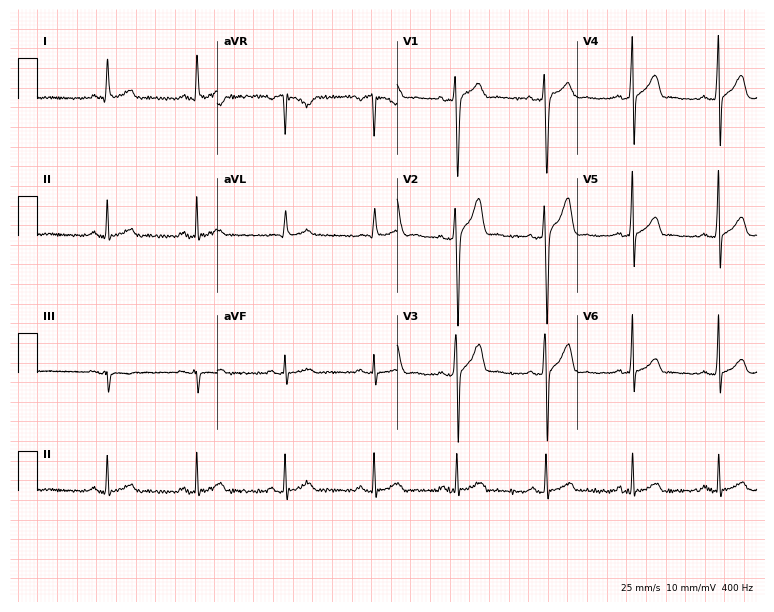
12-lead ECG from an 18-year-old male. Labelled as a normal ECG.